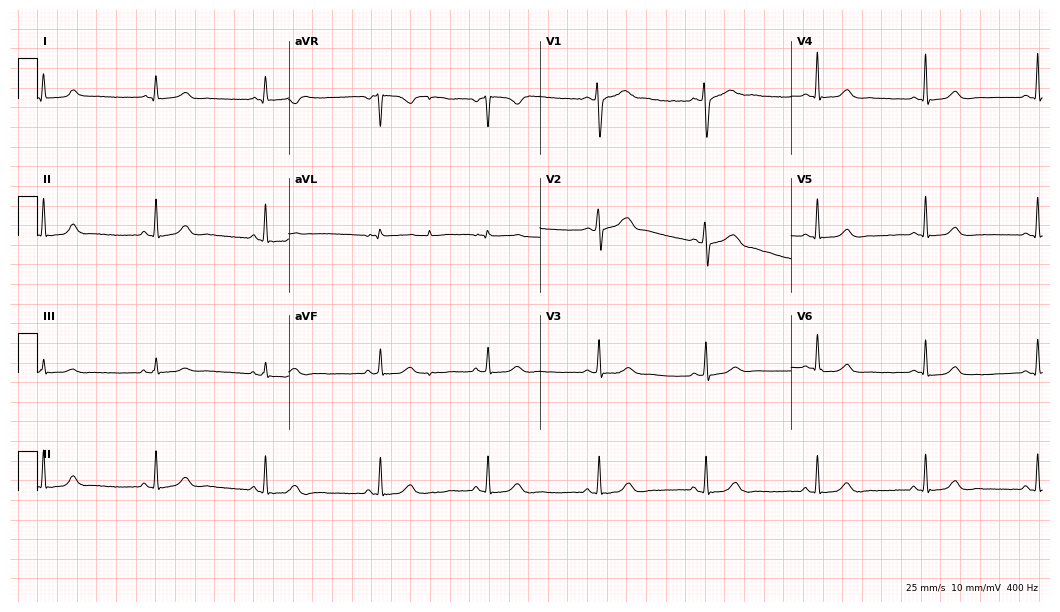
12-lead ECG from a female patient, 37 years old (10.2-second recording at 400 Hz). Recorded interpretation: within normal limits.